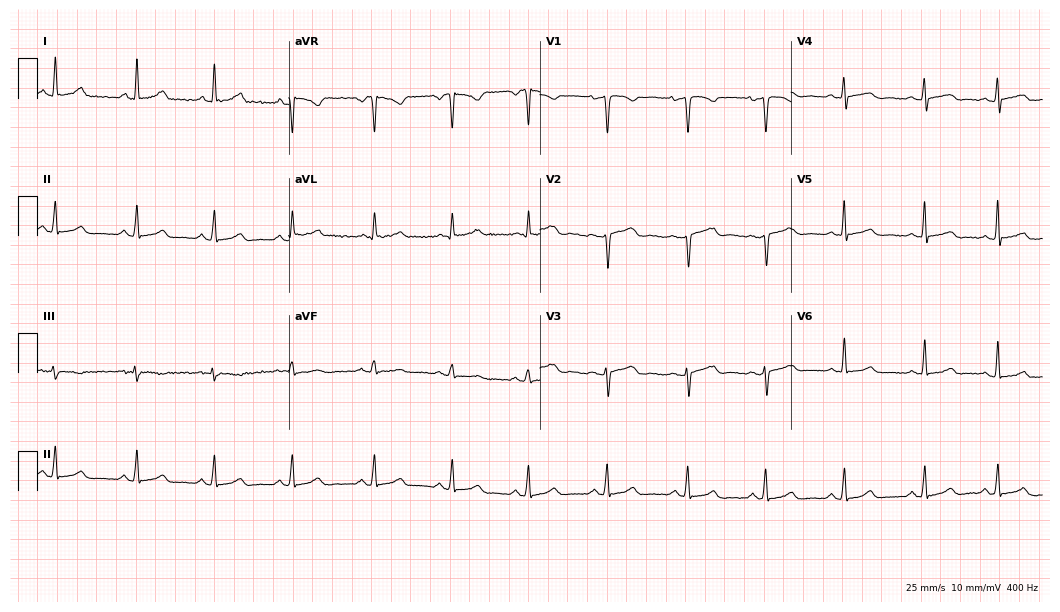
Resting 12-lead electrocardiogram (10.2-second recording at 400 Hz). Patient: a 36-year-old female. None of these six findings is recorded: first-degree AV block, right bundle branch block, left bundle branch block, sinus bradycardia, atrial fibrillation, sinus tachycardia.